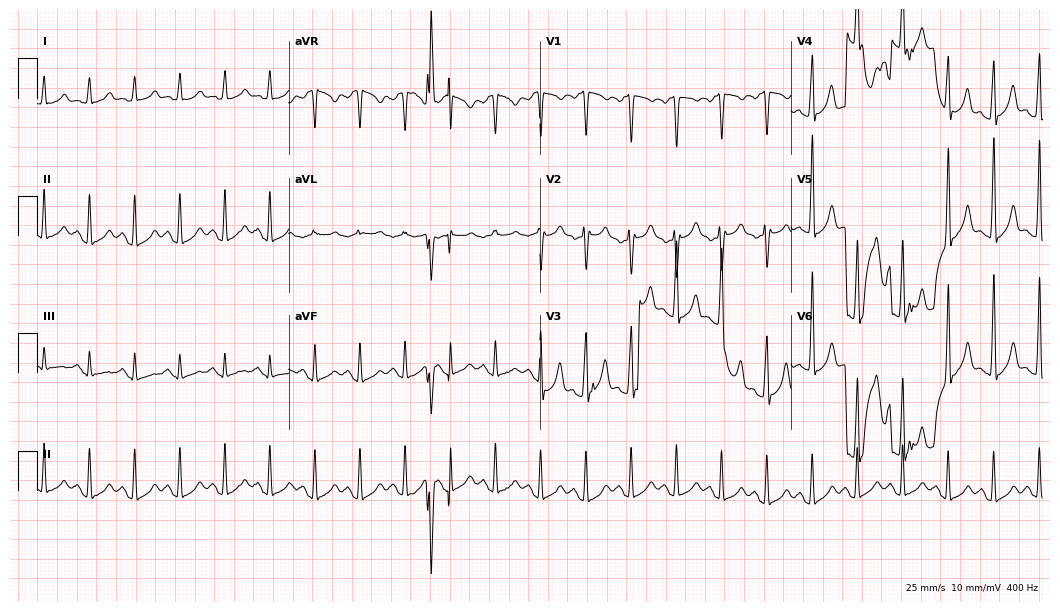
ECG — a female patient, 39 years old. Findings include sinus tachycardia (a sinus rate of 100 beats per minute or more).